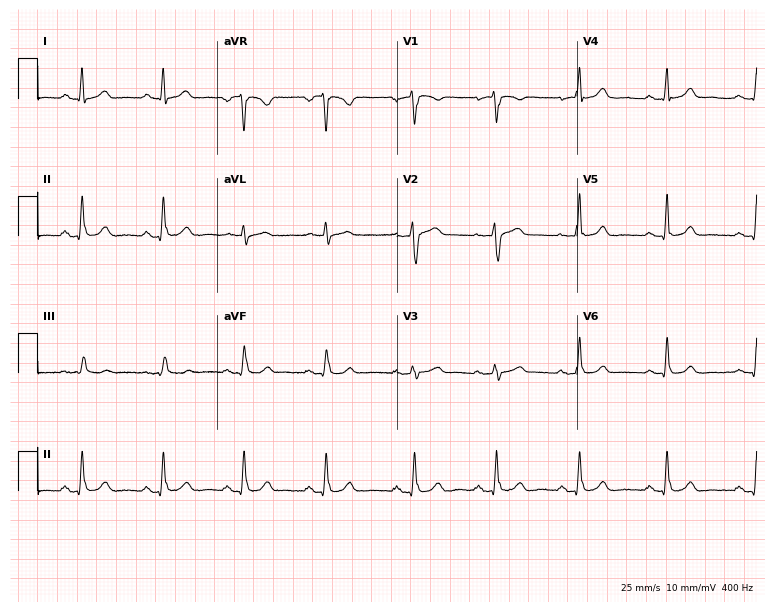
Electrocardiogram (7.3-second recording at 400 Hz), a 55-year-old female. Overall reading on record: normal ECG.